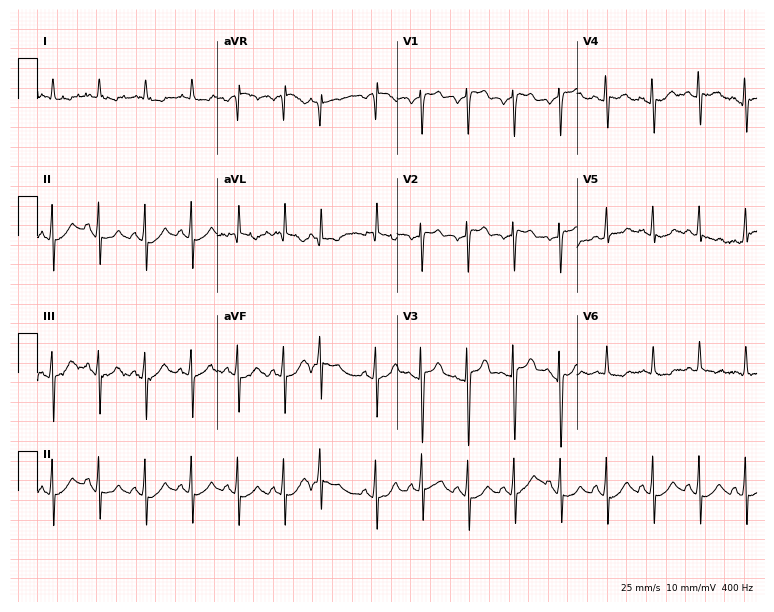
Electrocardiogram, an 85-year-old man. Of the six screened findings (first-degree AV block, right bundle branch block, left bundle branch block, sinus bradycardia, atrial fibrillation, sinus tachycardia), none is recorded. Only these six findings were labelled.